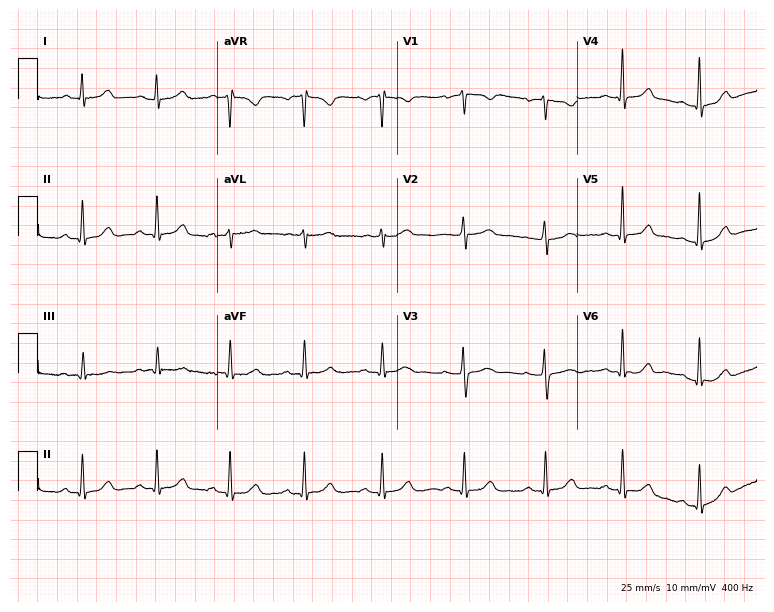
12-lead ECG from a 34-year-old woman. Labelled as a normal ECG.